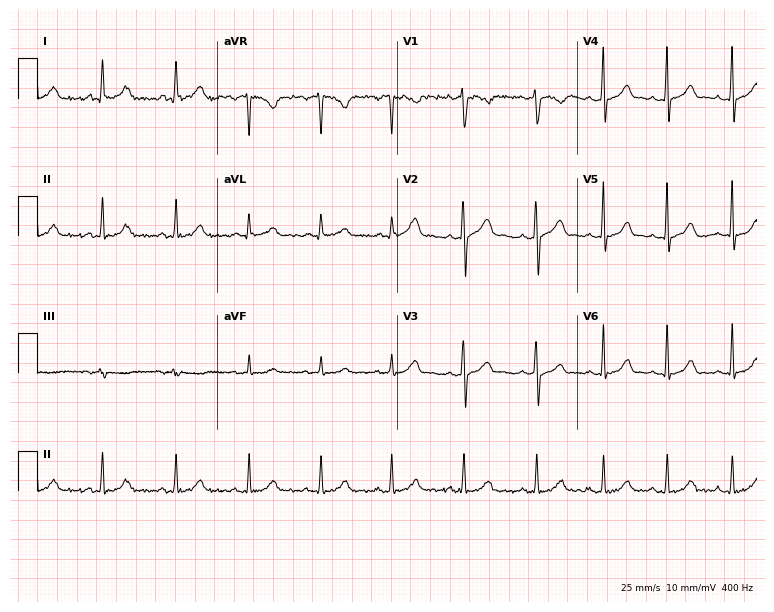
12-lead ECG from a woman, 25 years old. Labelled as a normal ECG.